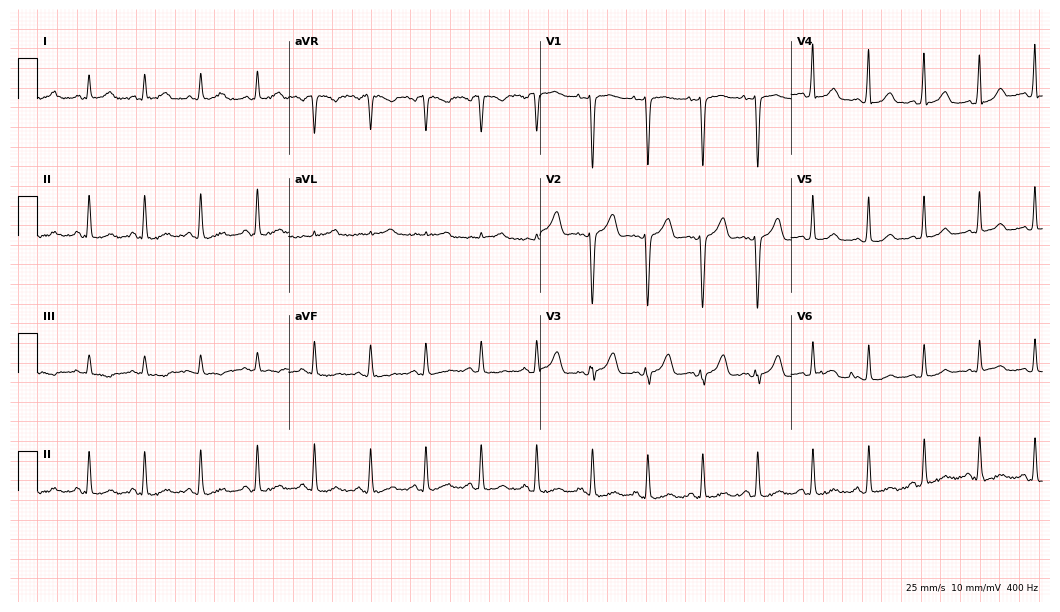
Electrocardiogram (10.2-second recording at 400 Hz), a 35-year-old female patient. Of the six screened findings (first-degree AV block, right bundle branch block, left bundle branch block, sinus bradycardia, atrial fibrillation, sinus tachycardia), none is recorded.